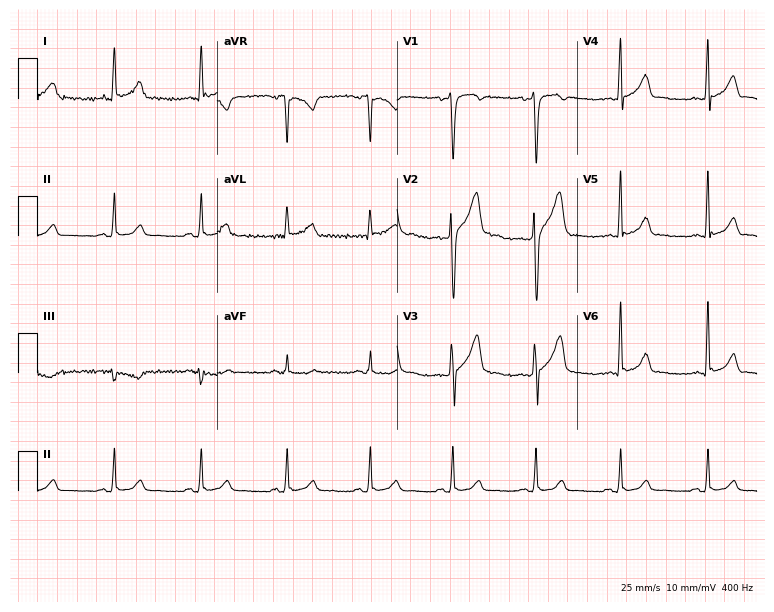
12-lead ECG (7.3-second recording at 400 Hz) from a man, 40 years old. Screened for six findings — first-degree AV block, right bundle branch block, left bundle branch block, sinus bradycardia, atrial fibrillation, sinus tachycardia — none is recorded.